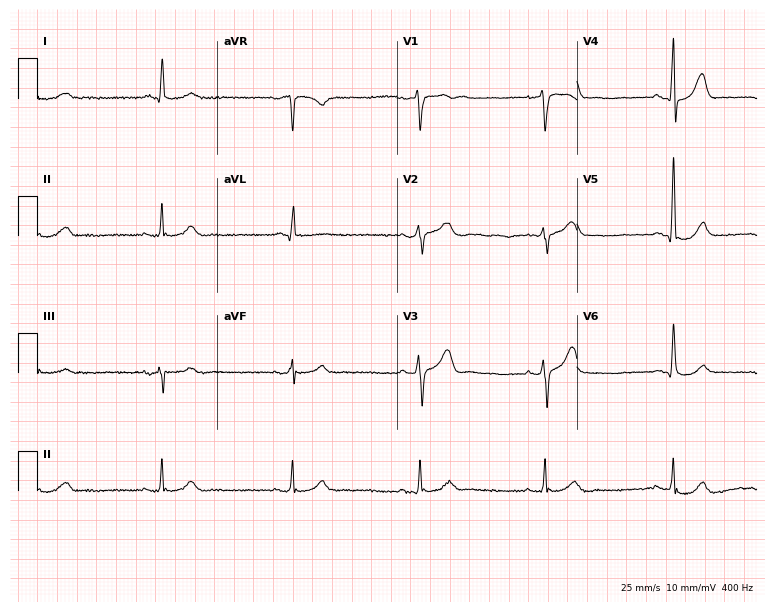
Resting 12-lead electrocardiogram. Patient: a 78-year-old male. The tracing shows sinus bradycardia (a sinus rate of 50 beats per minute or less).